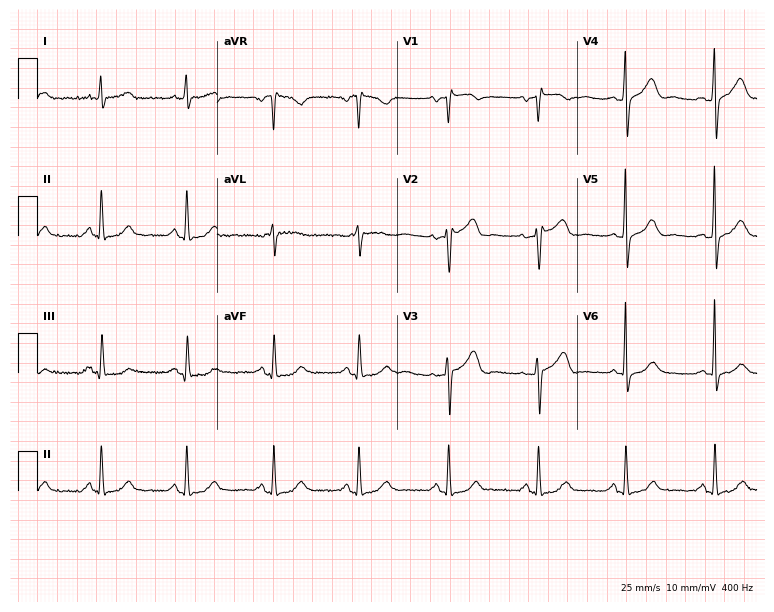
12-lead ECG from a 64-year-old woman. Recorded interpretation: within normal limits.